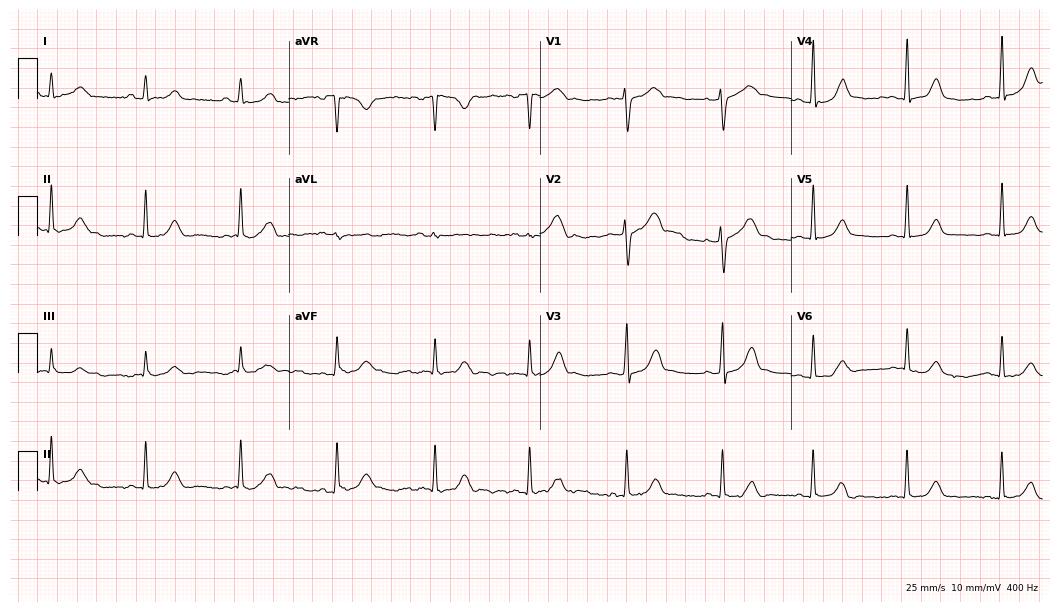
Electrocardiogram, a 37-year-old woman. Overall reading on record: normal ECG.